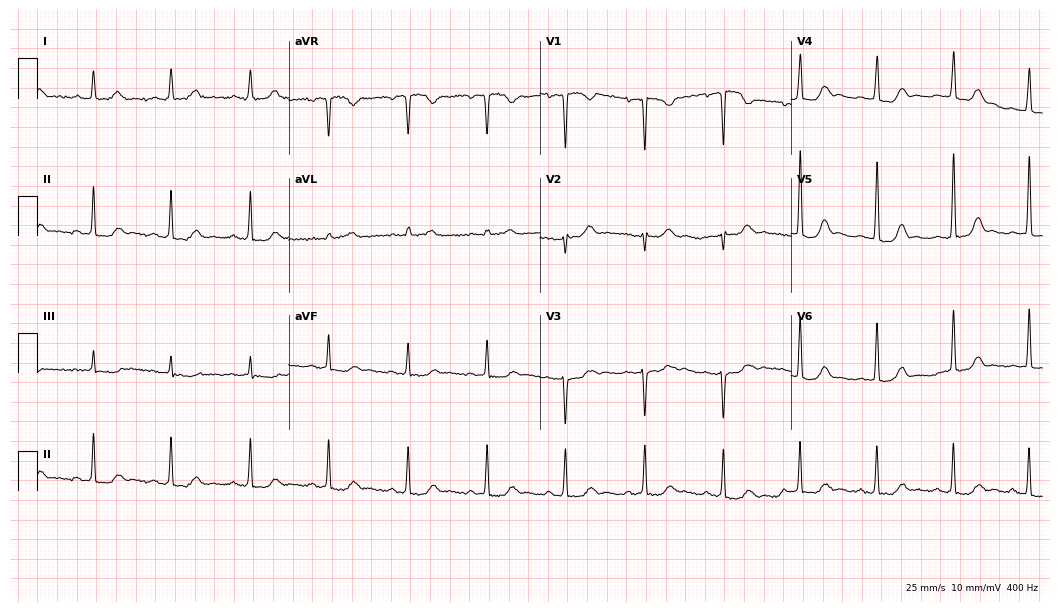
Resting 12-lead electrocardiogram (10.2-second recording at 400 Hz). Patient: a woman, 46 years old. Read as a normal ECG.